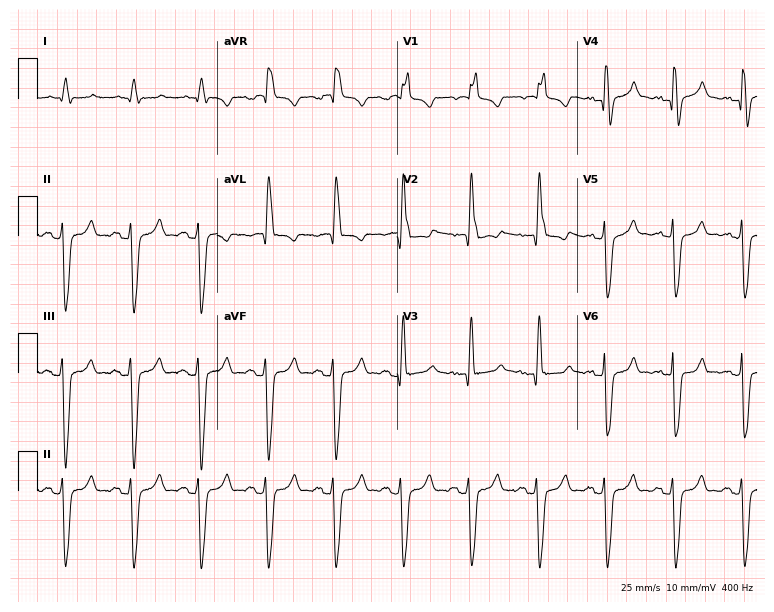
12-lead ECG from a man, 78 years old. Findings include right bundle branch block.